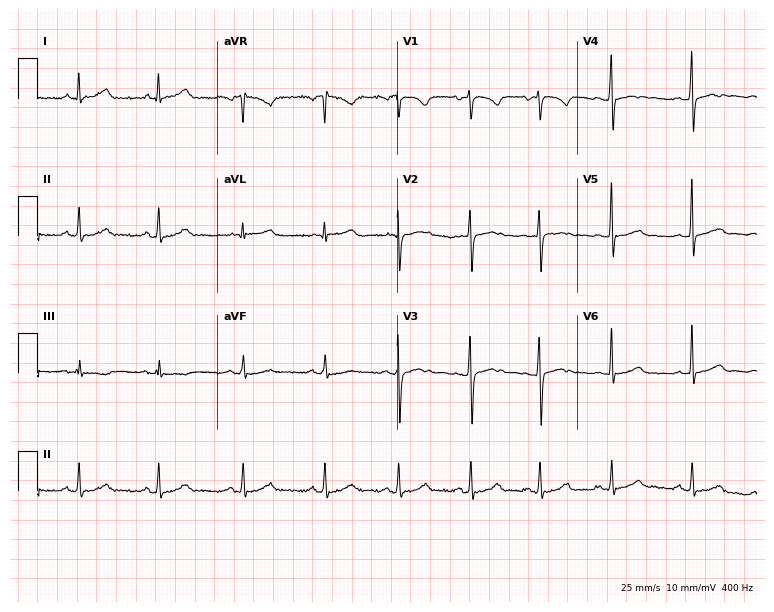
12-lead ECG from a female, 27 years old (7.3-second recording at 400 Hz). Recorded interpretation: within normal limits.